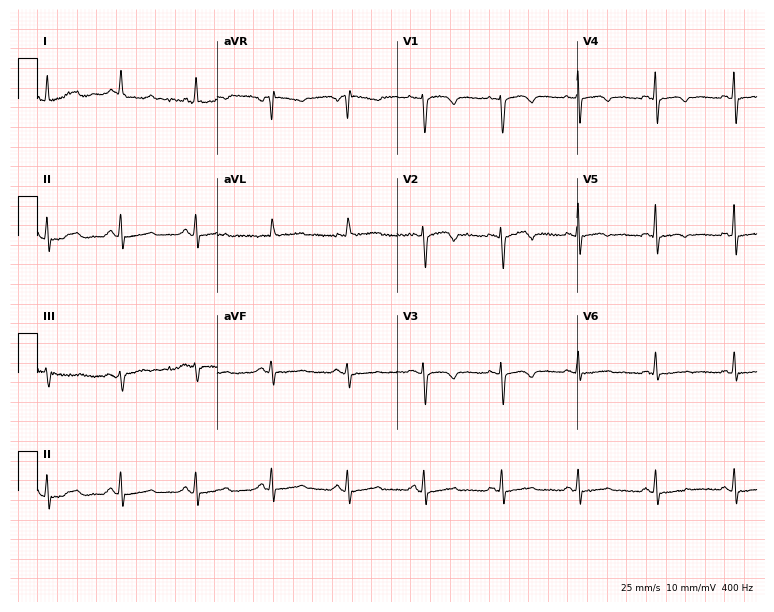
Standard 12-lead ECG recorded from a female patient, 69 years old (7.3-second recording at 400 Hz). None of these six findings is recorded: first-degree AV block, right bundle branch block, left bundle branch block, sinus bradycardia, atrial fibrillation, sinus tachycardia.